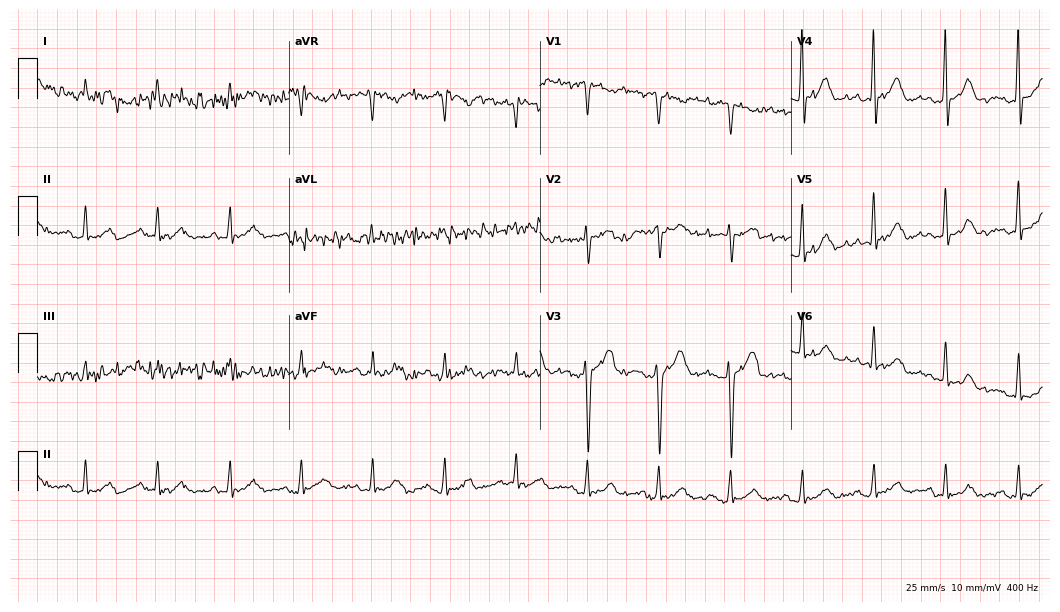
Resting 12-lead electrocardiogram (10.2-second recording at 400 Hz). Patient: a male, 82 years old. None of these six findings is recorded: first-degree AV block, right bundle branch block, left bundle branch block, sinus bradycardia, atrial fibrillation, sinus tachycardia. Only these six findings were labelled.